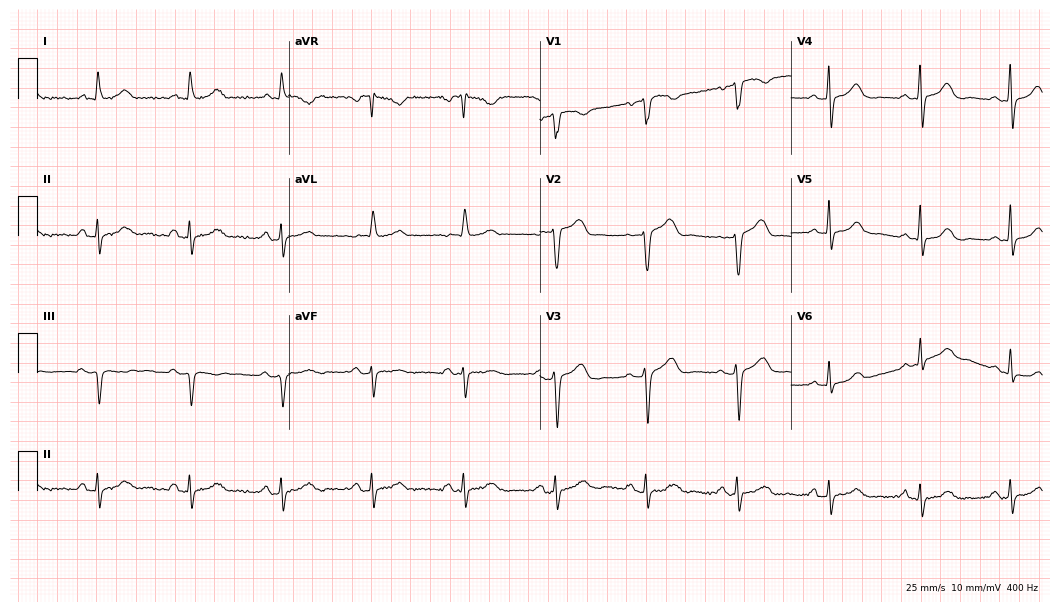
12-lead ECG from a woman, 73 years old (10.2-second recording at 400 Hz). No first-degree AV block, right bundle branch block (RBBB), left bundle branch block (LBBB), sinus bradycardia, atrial fibrillation (AF) or sinus tachycardia recorded for this tracing. Other findings, if any, are not listed.